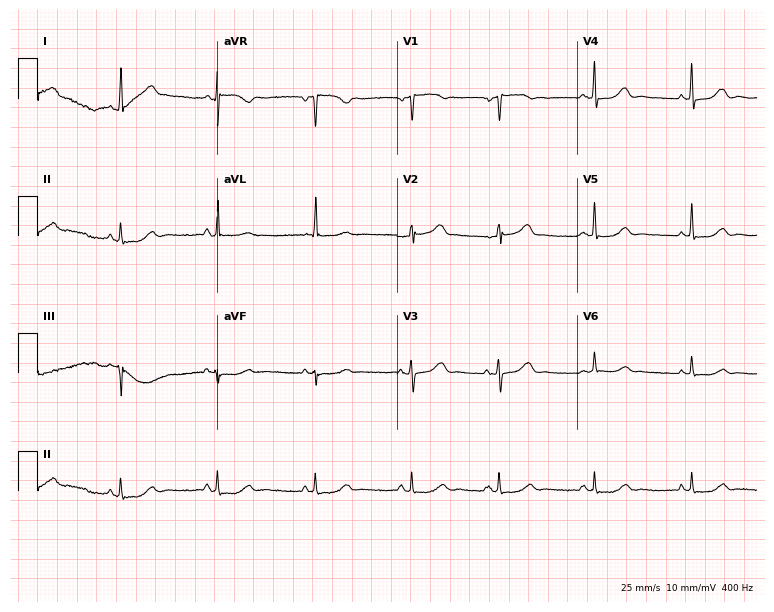
Electrocardiogram (7.3-second recording at 400 Hz), a 61-year-old woman. Overall reading on record: normal ECG.